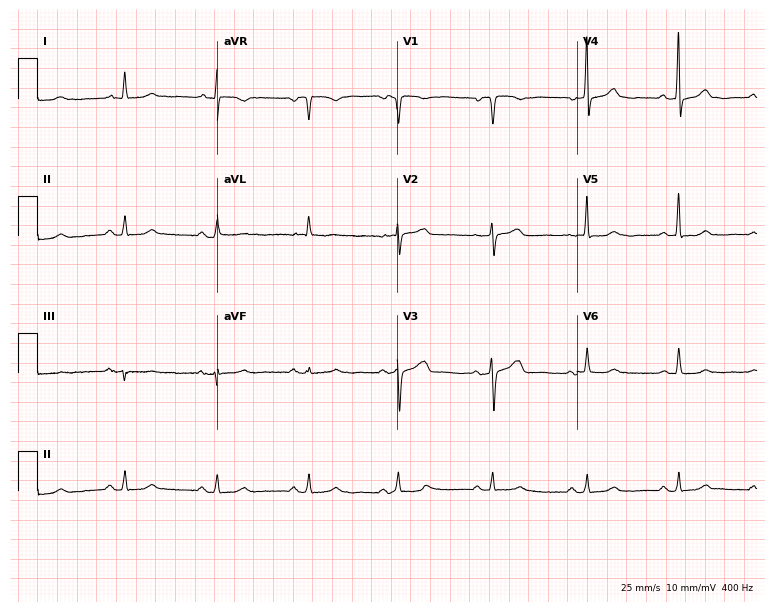
Resting 12-lead electrocardiogram. Patient: a female, 69 years old. Read as a normal ECG.